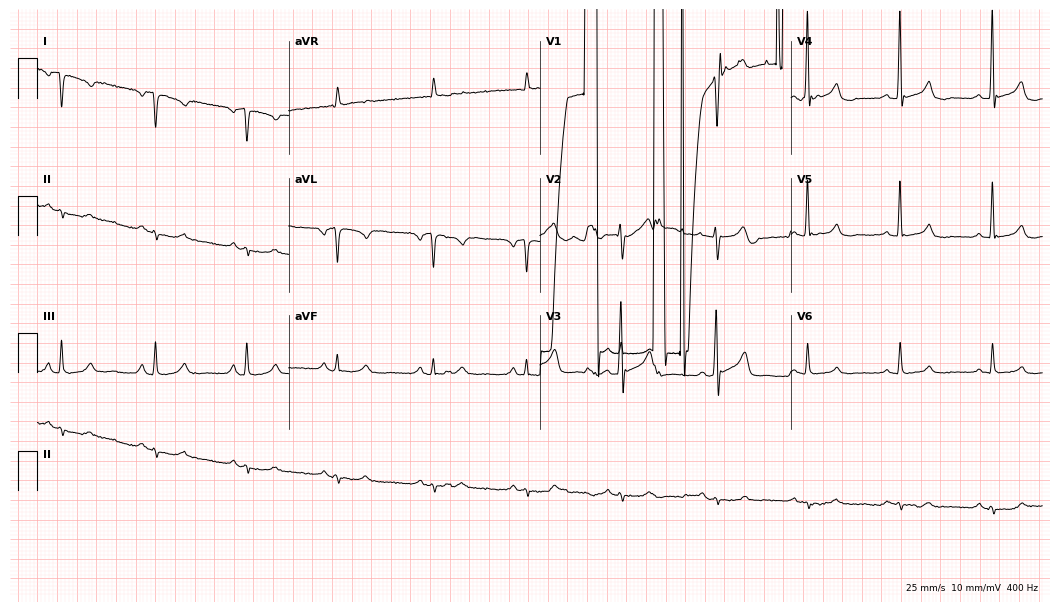
12-lead ECG from a 60-year-old male patient (10.2-second recording at 400 Hz). No first-degree AV block, right bundle branch block, left bundle branch block, sinus bradycardia, atrial fibrillation or sinus tachycardia recorded for this tracing.